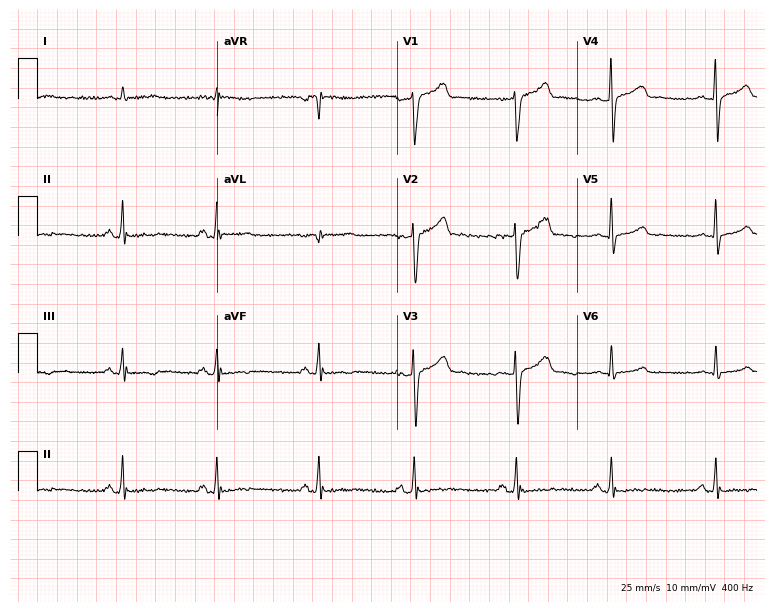
Electrocardiogram (7.3-second recording at 400 Hz), a 38-year-old male patient. Overall reading on record: normal ECG.